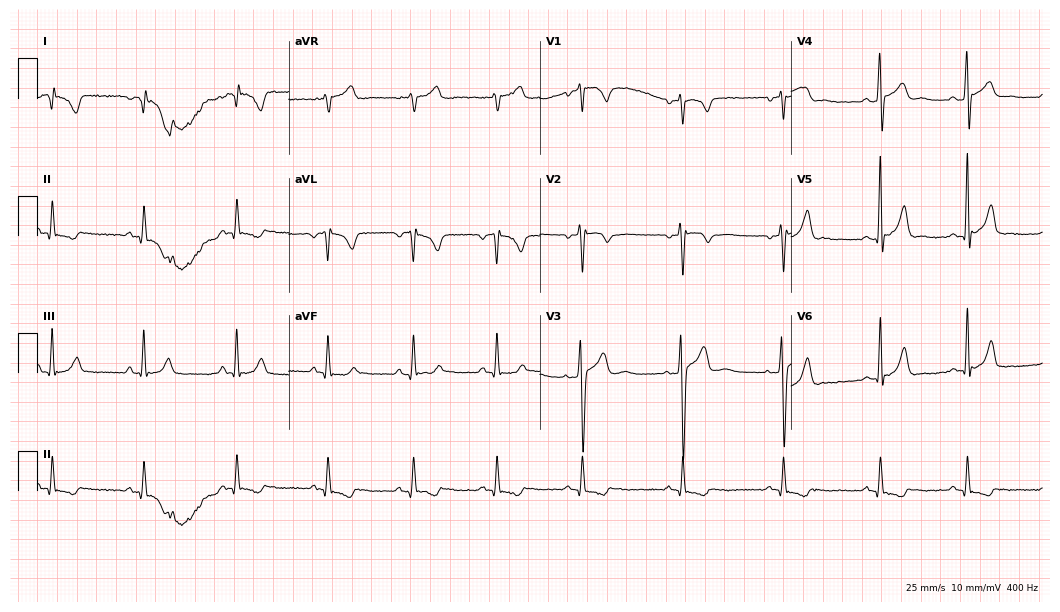
Resting 12-lead electrocardiogram. Patient: a man, 22 years old. None of these six findings is recorded: first-degree AV block, right bundle branch block (RBBB), left bundle branch block (LBBB), sinus bradycardia, atrial fibrillation (AF), sinus tachycardia.